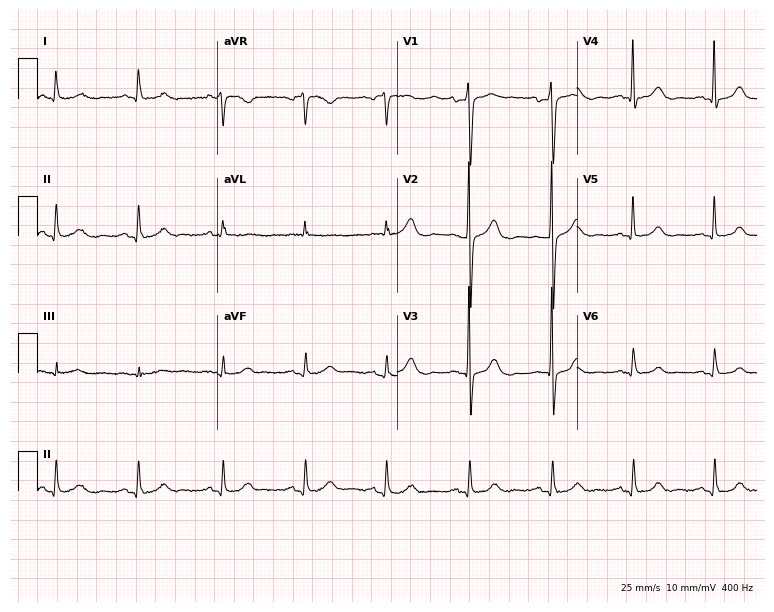
12-lead ECG from a woman, 60 years old. No first-degree AV block, right bundle branch block (RBBB), left bundle branch block (LBBB), sinus bradycardia, atrial fibrillation (AF) or sinus tachycardia recorded for this tracing. Findings outside these six are not listed.